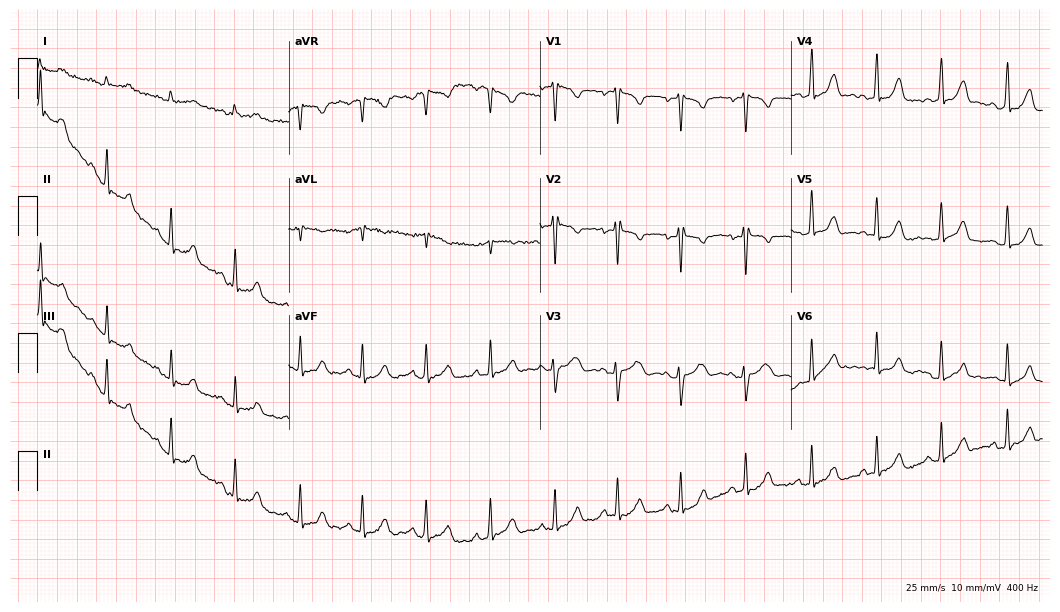
Resting 12-lead electrocardiogram. Patient: a female, 29 years old. None of these six findings is recorded: first-degree AV block, right bundle branch block, left bundle branch block, sinus bradycardia, atrial fibrillation, sinus tachycardia.